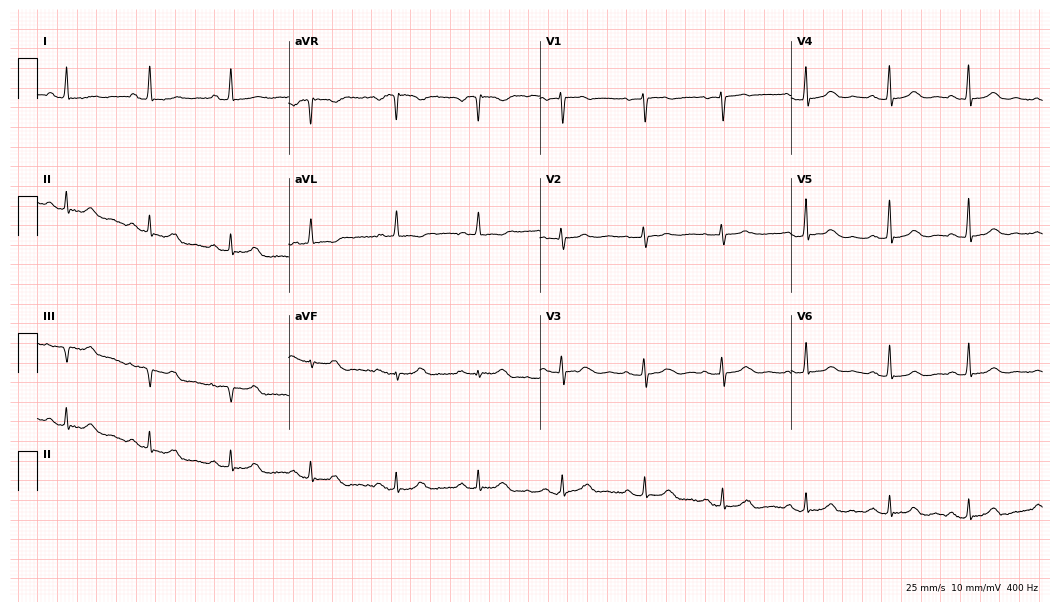
ECG (10.2-second recording at 400 Hz) — a female patient, 47 years old. Labelled as a normal ECG.